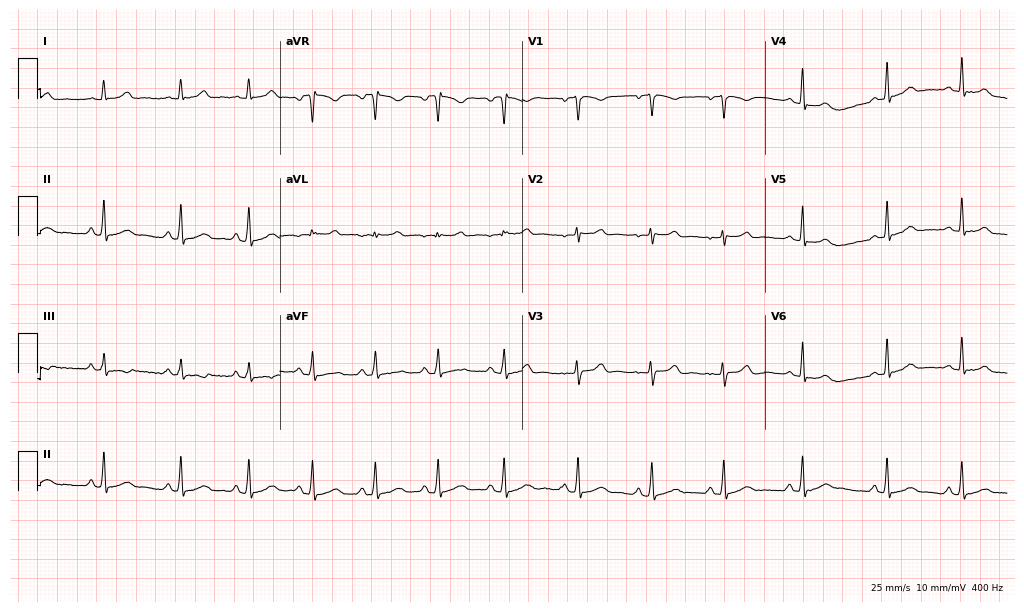
12-lead ECG from a 23-year-old female patient. Recorded interpretation: within normal limits.